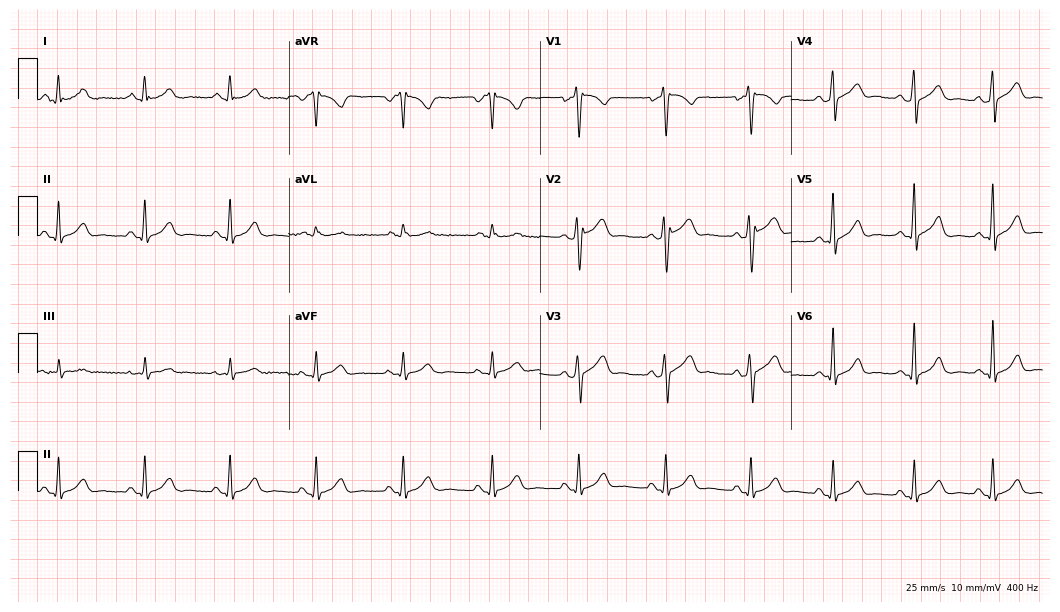
Standard 12-lead ECG recorded from a 34-year-old male patient (10.2-second recording at 400 Hz). None of these six findings is recorded: first-degree AV block, right bundle branch block, left bundle branch block, sinus bradycardia, atrial fibrillation, sinus tachycardia.